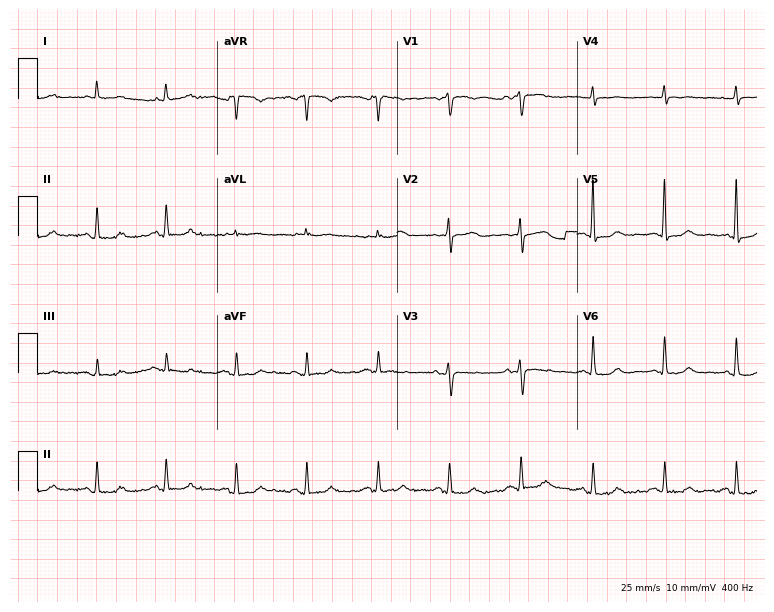
Standard 12-lead ECG recorded from a female, 57 years old (7.3-second recording at 400 Hz). Read as a normal ECG.